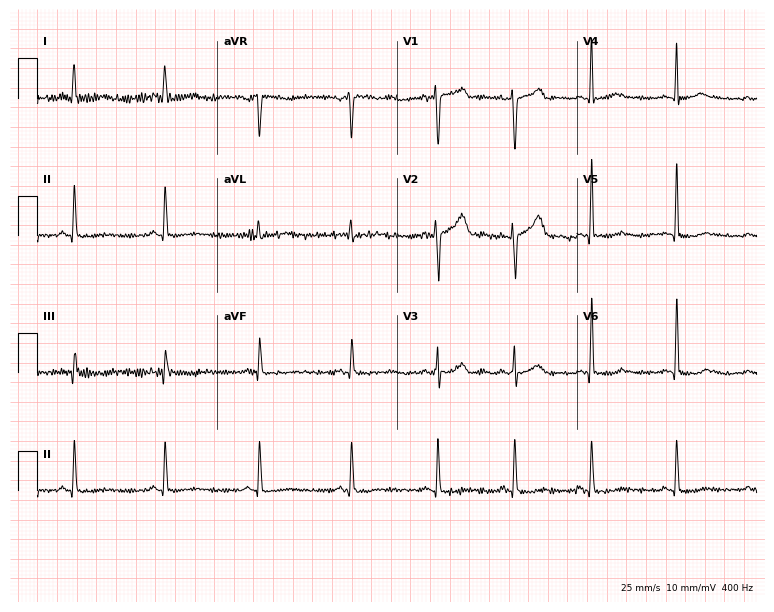
Electrocardiogram (7.3-second recording at 400 Hz), a 30-year-old male. Of the six screened findings (first-degree AV block, right bundle branch block, left bundle branch block, sinus bradycardia, atrial fibrillation, sinus tachycardia), none is recorded.